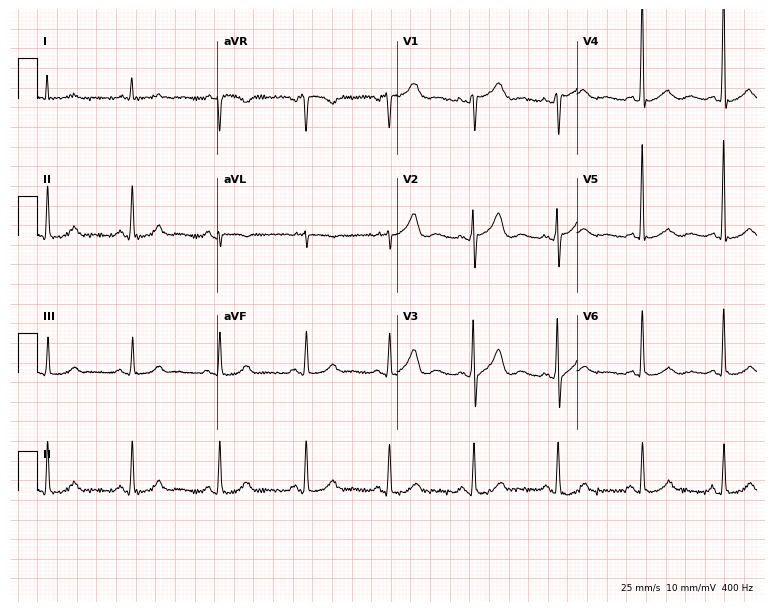
Resting 12-lead electrocardiogram (7.3-second recording at 400 Hz). Patient: a woman, 55 years old. None of these six findings is recorded: first-degree AV block, right bundle branch block, left bundle branch block, sinus bradycardia, atrial fibrillation, sinus tachycardia.